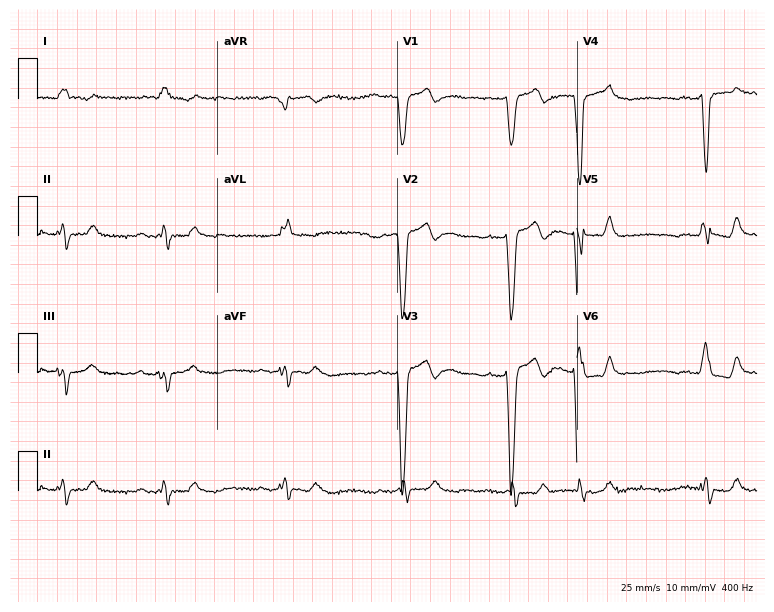
12-lead ECG from a 79-year-old male. Shows left bundle branch block.